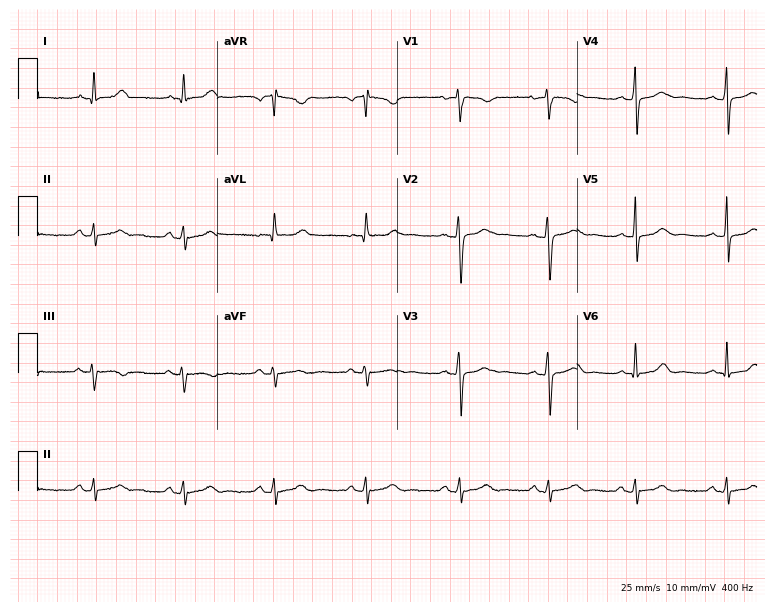
12-lead ECG (7.3-second recording at 400 Hz) from a 22-year-old female patient. Screened for six findings — first-degree AV block, right bundle branch block, left bundle branch block, sinus bradycardia, atrial fibrillation, sinus tachycardia — none is recorded. Other findings, if any, are not listed.